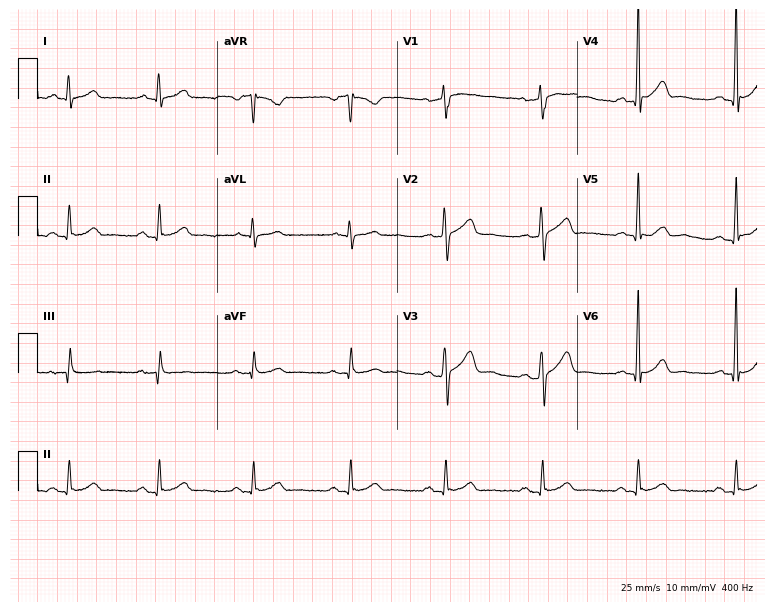
Standard 12-lead ECG recorded from a male, 43 years old (7.3-second recording at 400 Hz). Read as a normal ECG.